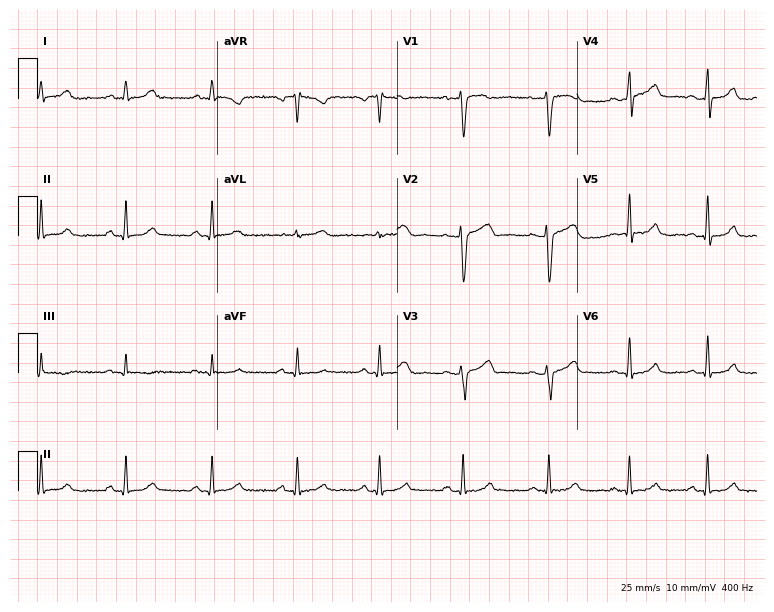
Electrocardiogram, a 40-year-old female patient. Overall reading on record: normal ECG.